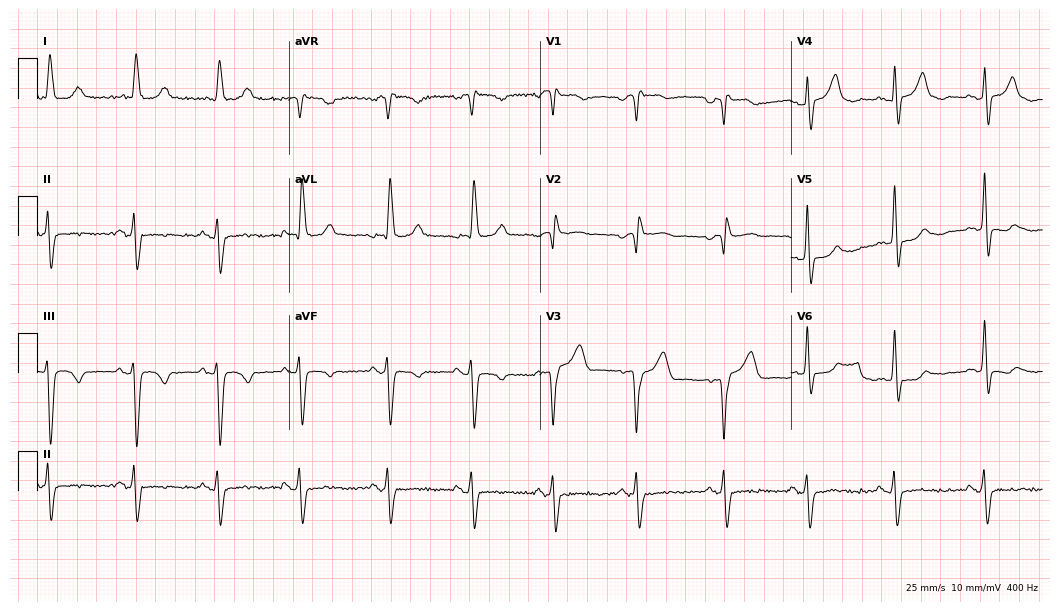
12-lead ECG from a man, 76 years old (10.2-second recording at 400 Hz). No first-degree AV block, right bundle branch block (RBBB), left bundle branch block (LBBB), sinus bradycardia, atrial fibrillation (AF) or sinus tachycardia recorded for this tracing. Other findings, if any, are not listed.